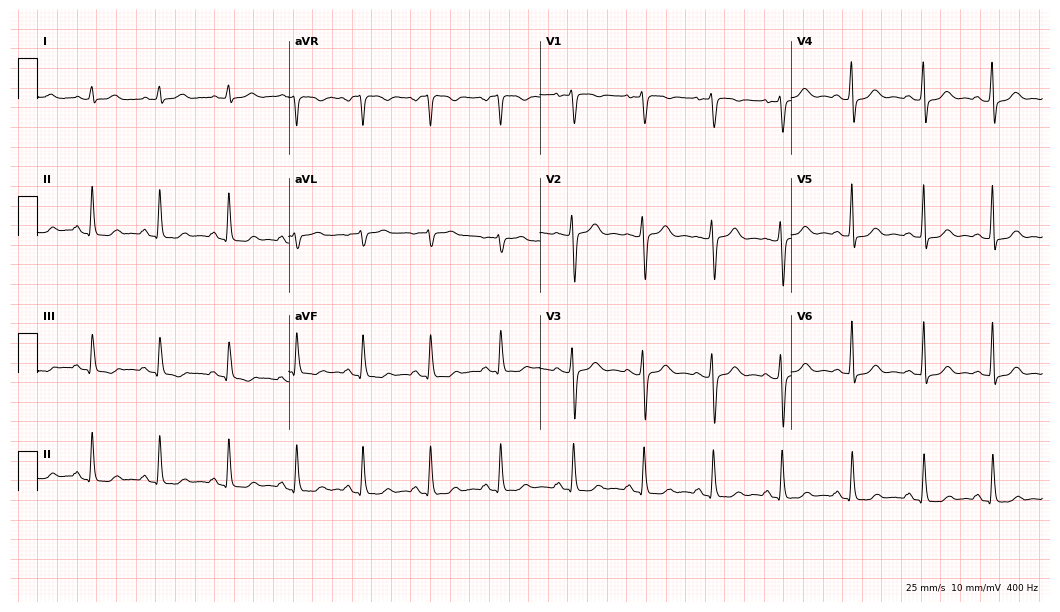
12-lead ECG from a 26-year-old male. Labelled as a normal ECG.